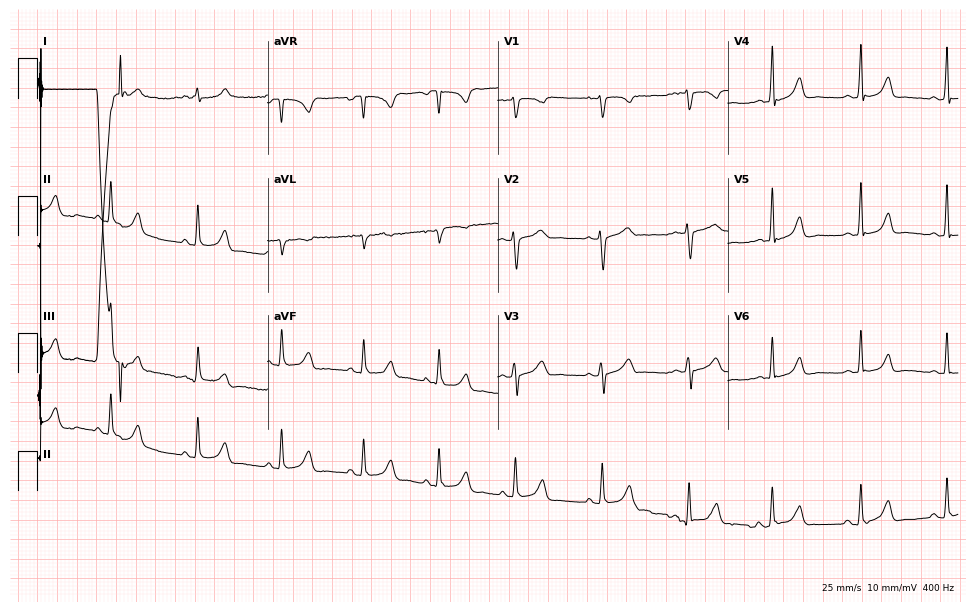
12-lead ECG from a woman, 19 years old. Labelled as a normal ECG.